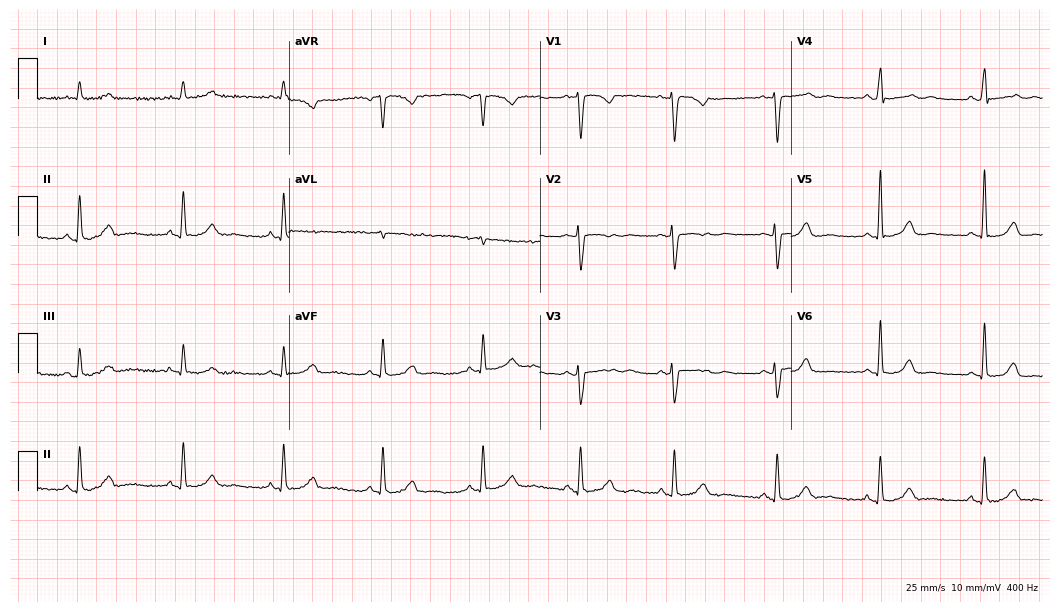
12-lead ECG from a 47-year-old woman. Screened for six findings — first-degree AV block, right bundle branch block, left bundle branch block, sinus bradycardia, atrial fibrillation, sinus tachycardia — none is recorded. Other findings, if any, are not listed.